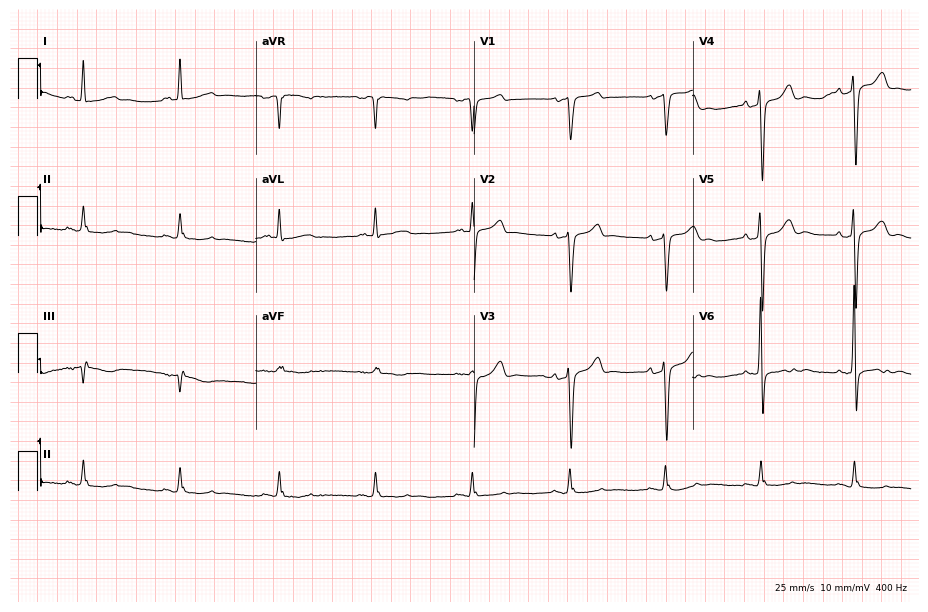
Electrocardiogram, a male, 74 years old. Of the six screened findings (first-degree AV block, right bundle branch block (RBBB), left bundle branch block (LBBB), sinus bradycardia, atrial fibrillation (AF), sinus tachycardia), none is recorded. Other findings, if any, are not listed.